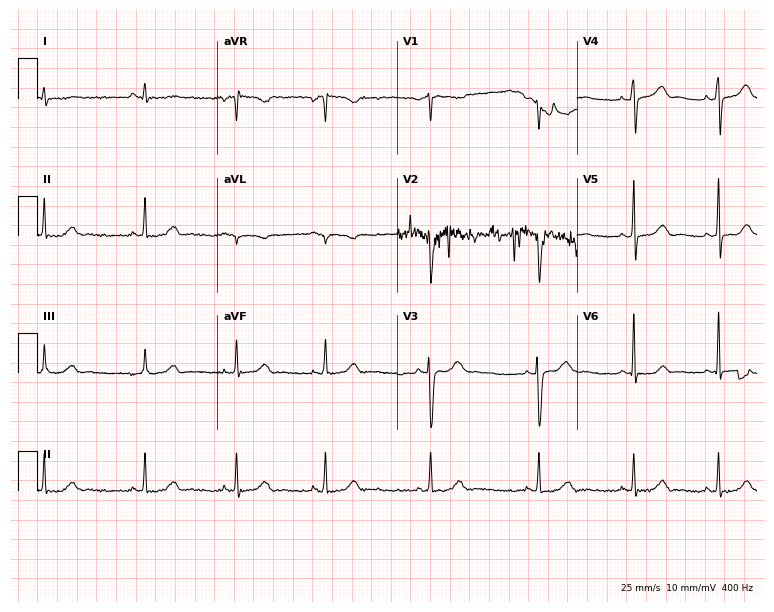
12-lead ECG from a 19-year-old female. Screened for six findings — first-degree AV block, right bundle branch block, left bundle branch block, sinus bradycardia, atrial fibrillation, sinus tachycardia — none is recorded. Other findings, if any, are not listed.